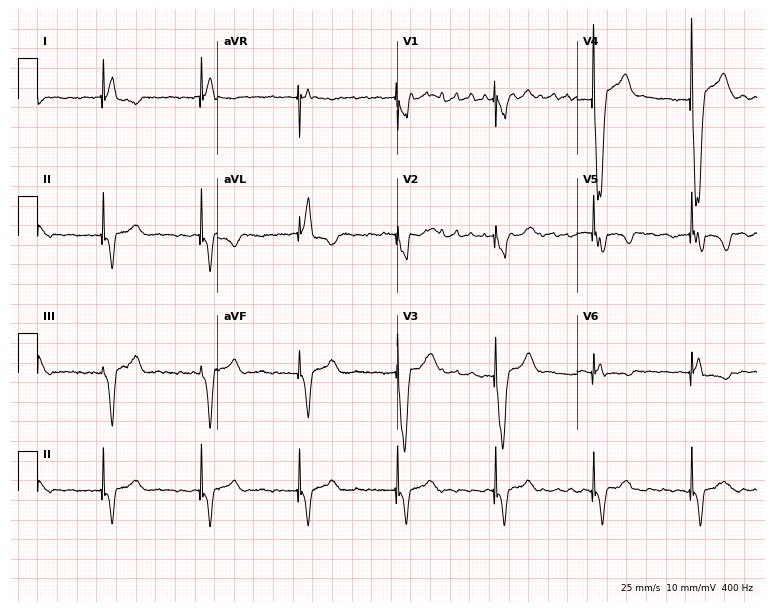
ECG (7.3-second recording at 400 Hz) — an 82-year-old woman. Screened for six findings — first-degree AV block, right bundle branch block, left bundle branch block, sinus bradycardia, atrial fibrillation, sinus tachycardia — none is recorded.